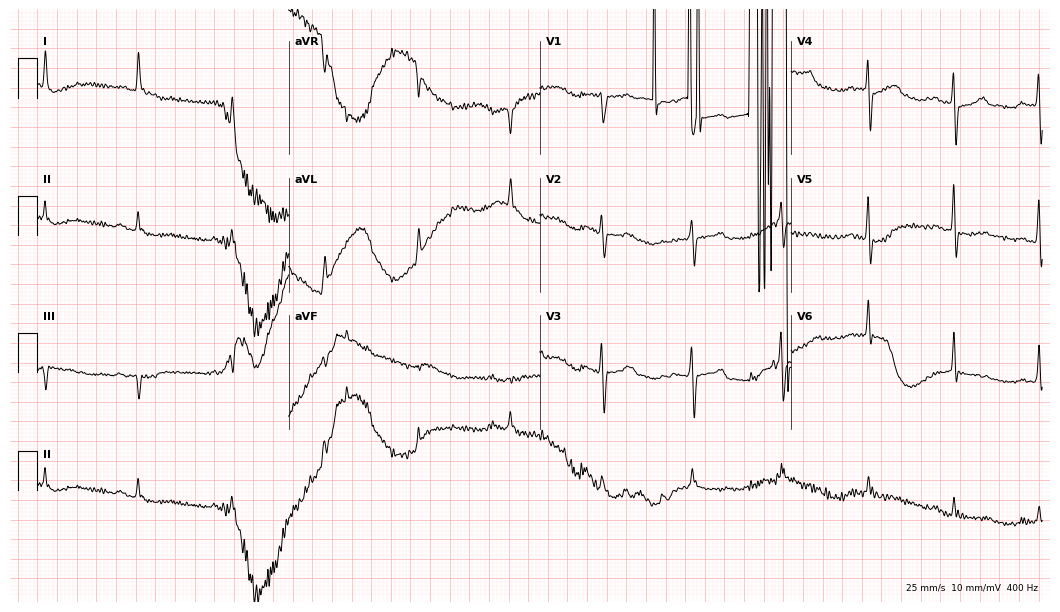
Resting 12-lead electrocardiogram. Patient: a male, 76 years old. None of these six findings is recorded: first-degree AV block, right bundle branch block, left bundle branch block, sinus bradycardia, atrial fibrillation, sinus tachycardia.